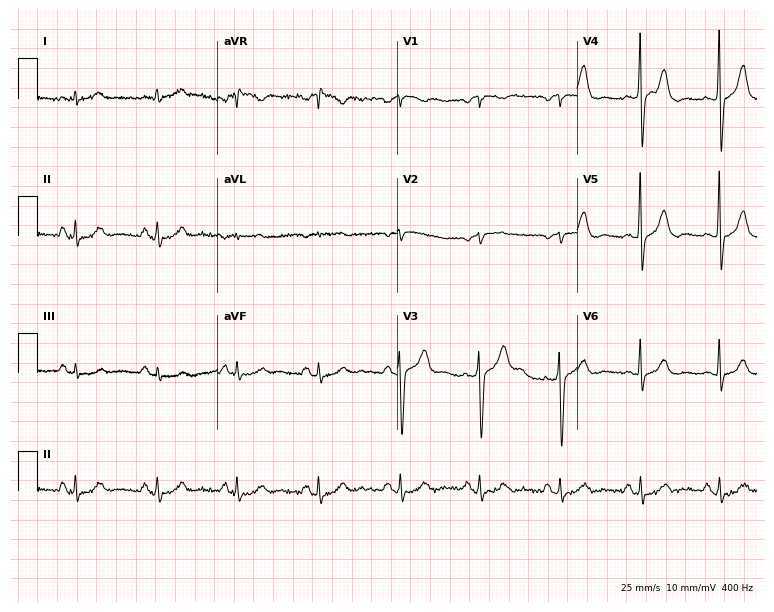
12-lead ECG from a 65-year-old male. Labelled as a normal ECG.